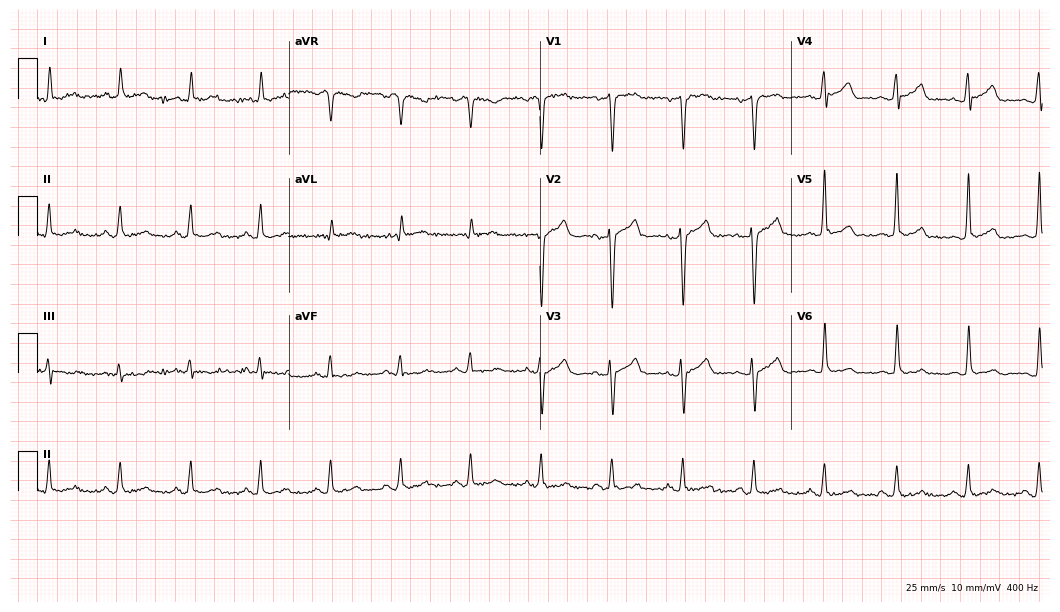
ECG (10.2-second recording at 400 Hz) — a 58-year-old male patient. Labelled as a normal ECG.